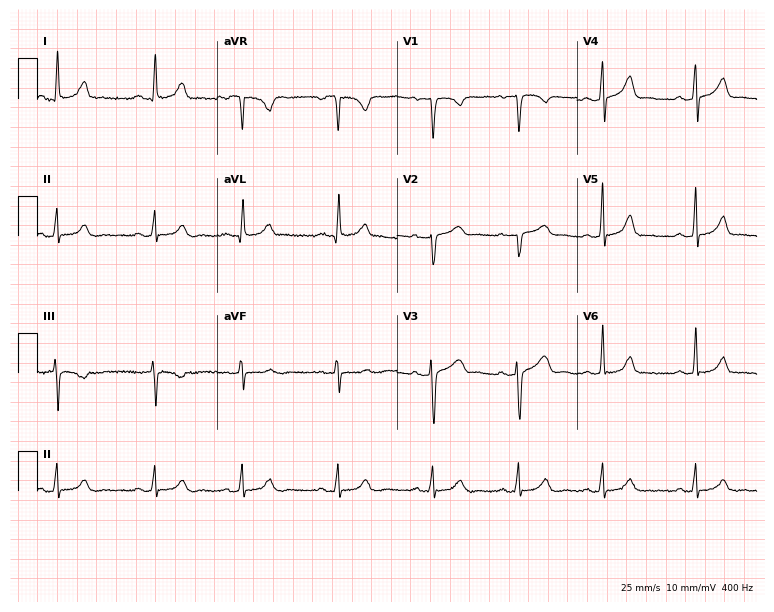
ECG — a 34-year-old female patient. Labelled as a normal ECG.